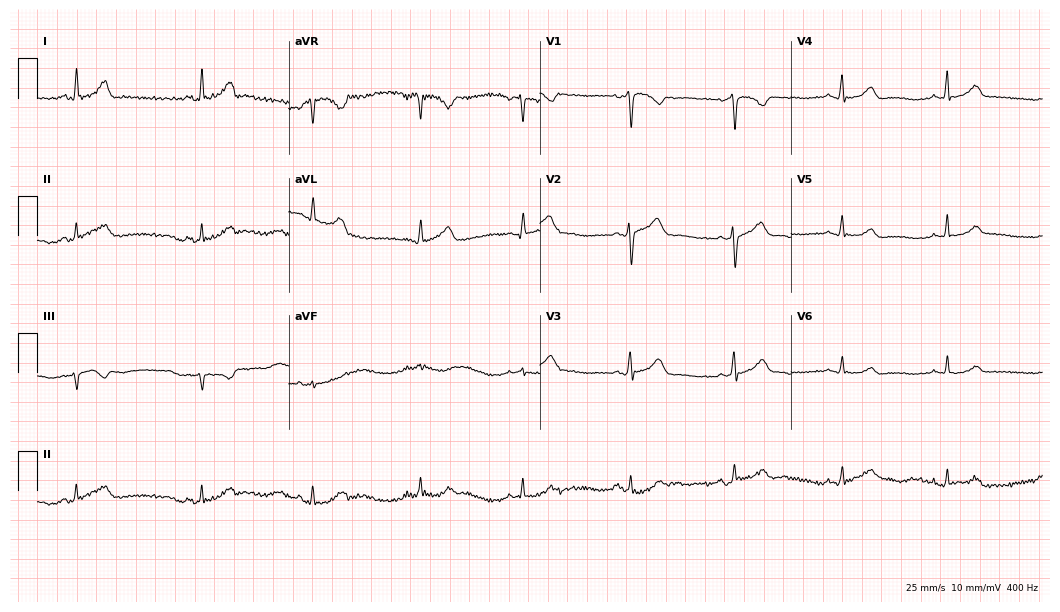
Standard 12-lead ECG recorded from a woman, 38 years old. Read as a normal ECG.